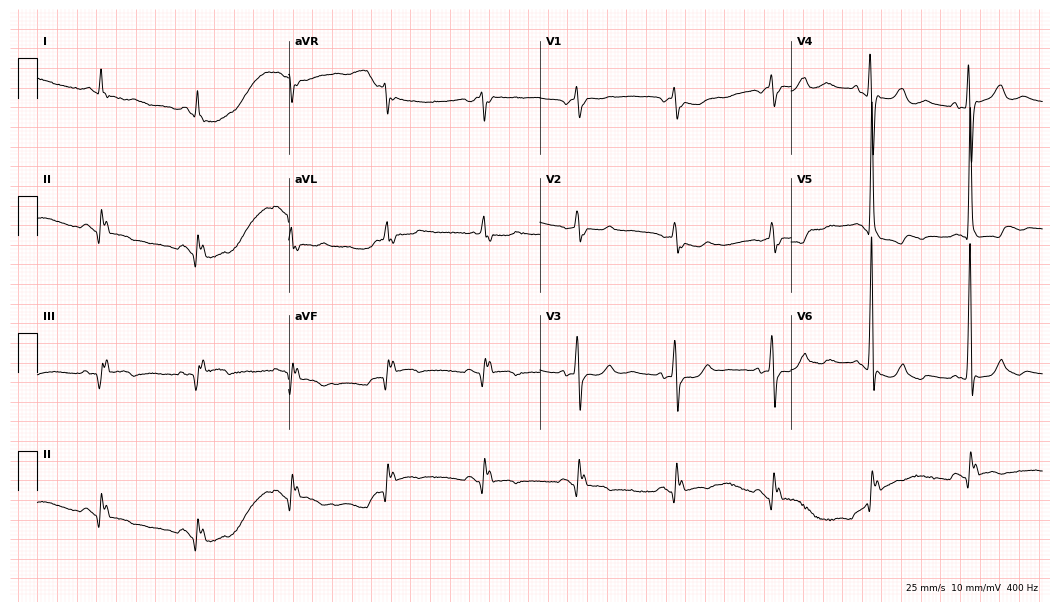
Electrocardiogram, a 65-year-old female. Of the six screened findings (first-degree AV block, right bundle branch block, left bundle branch block, sinus bradycardia, atrial fibrillation, sinus tachycardia), none is recorded. Only these six findings were labelled.